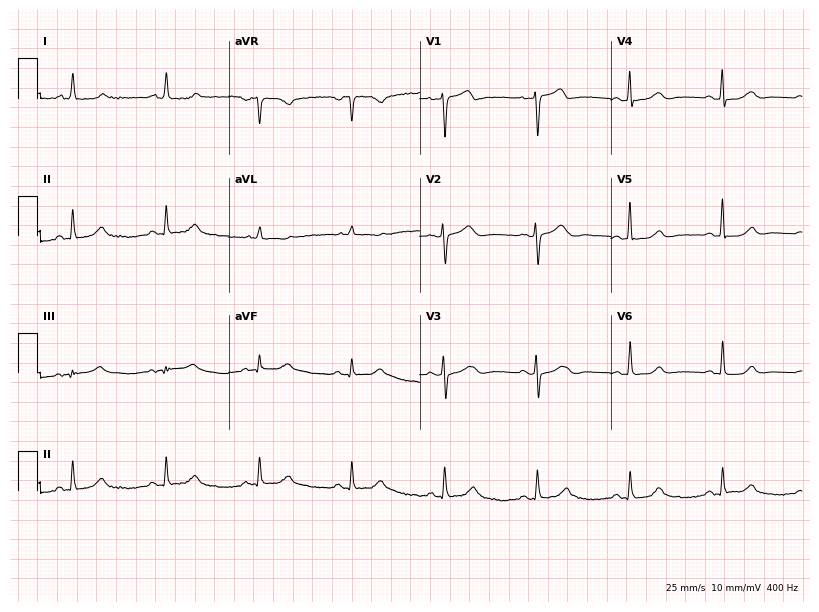
Resting 12-lead electrocardiogram (7.8-second recording at 400 Hz). Patient: a female, 80 years old. None of these six findings is recorded: first-degree AV block, right bundle branch block, left bundle branch block, sinus bradycardia, atrial fibrillation, sinus tachycardia. Other findings, if any, are not listed.